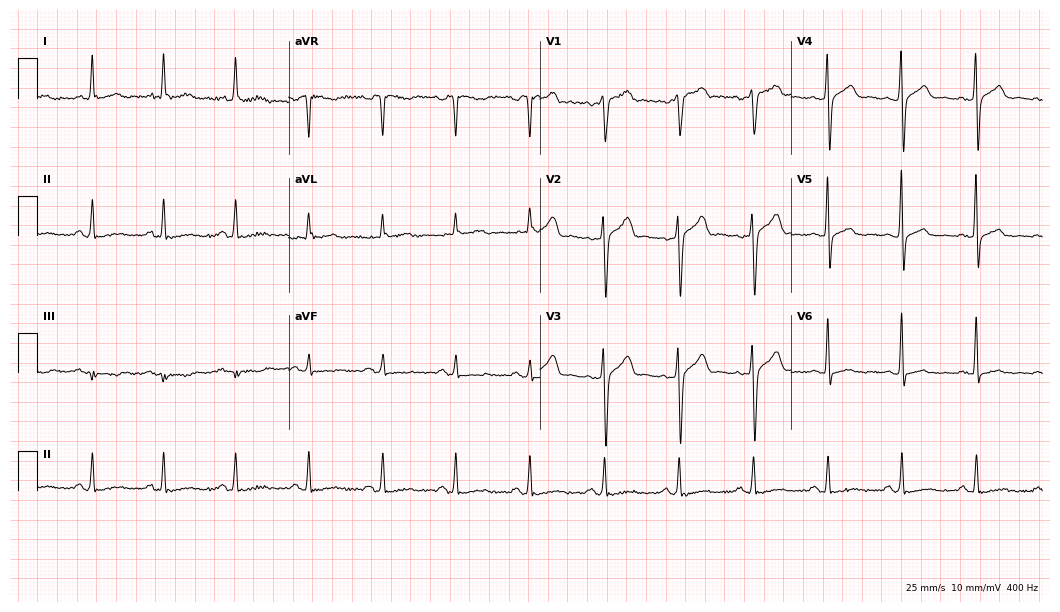
12-lead ECG from a female, 61 years old. Screened for six findings — first-degree AV block, right bundle branch block, left bundle branch block, sinus bradycardia, atrial fibrillation, sinus tachycardia — none is recorded.